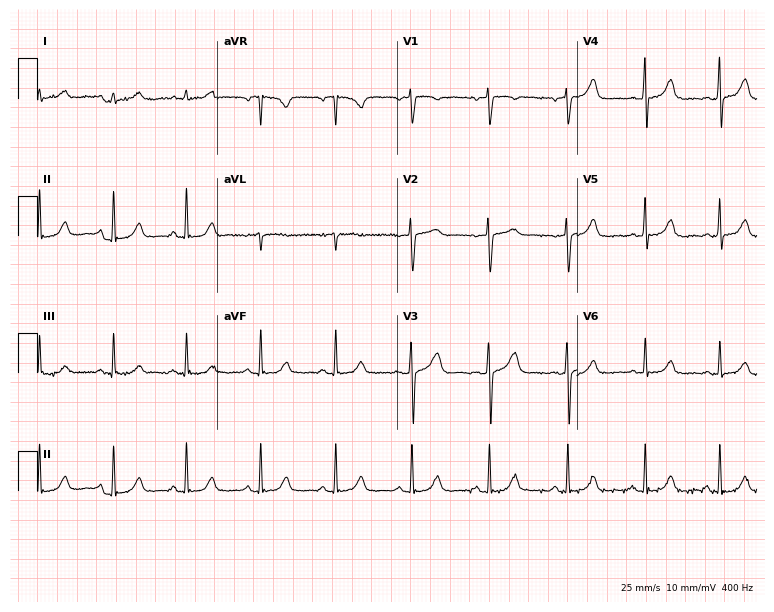
Electrocardiogram (7.3-second recording at 400 Hz), a 63-year-old female. Of the six screened findings (first-degree AV block, right bundle branch block, left bundle branch block, sinus bradycardia, atrial fibrillation, sinus tachycardia), none is recorded. Only these six findings were labelled.